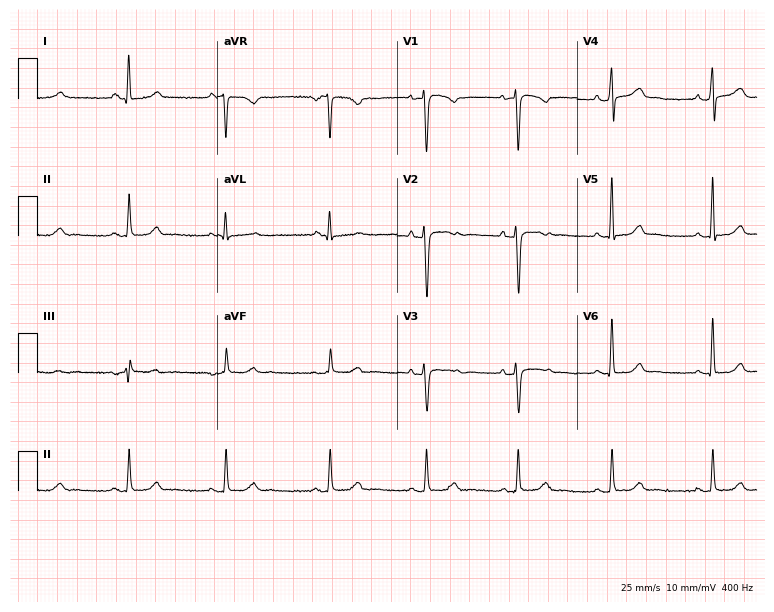
12-lead ECG from a 41-year-old female patient. Labelled as a normal ECG.